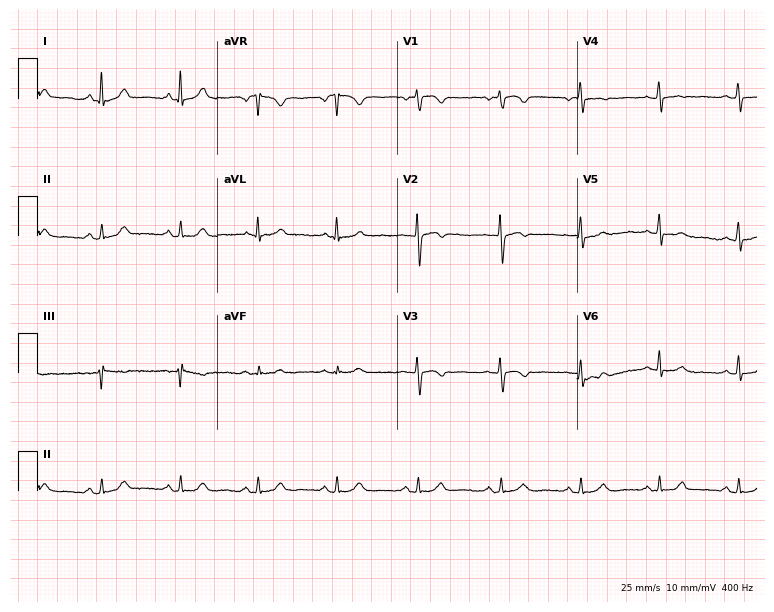
ECG (7.3-second recording at 400 Hz) — a female patient, 28 years old. Screened for six findings — first-degree AV block, right bundle branch block, left bundle branch block, sinus bradycardia, atrial fibrillation, sinus tachycardia — none is recorded. Other findings, if any, are not listed.